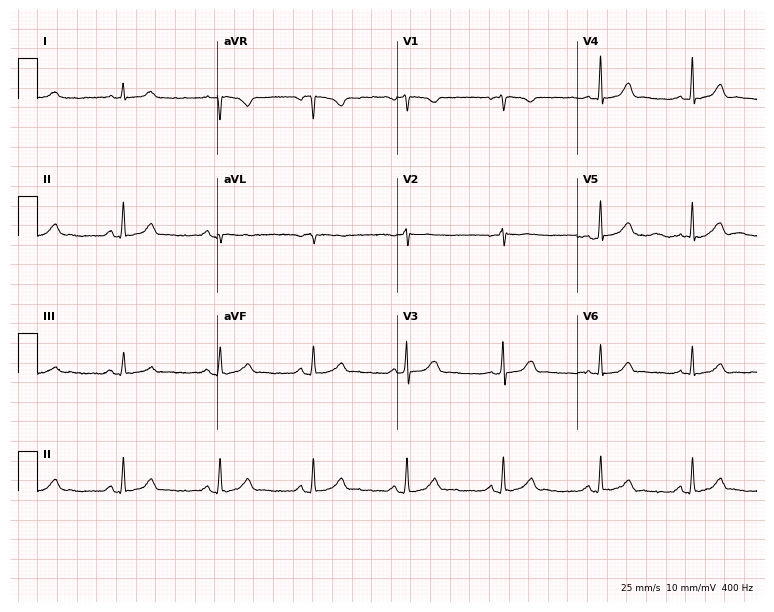
Electrocardiogram, a 38-year-old female patient. Overall reading on record: normal ECG.